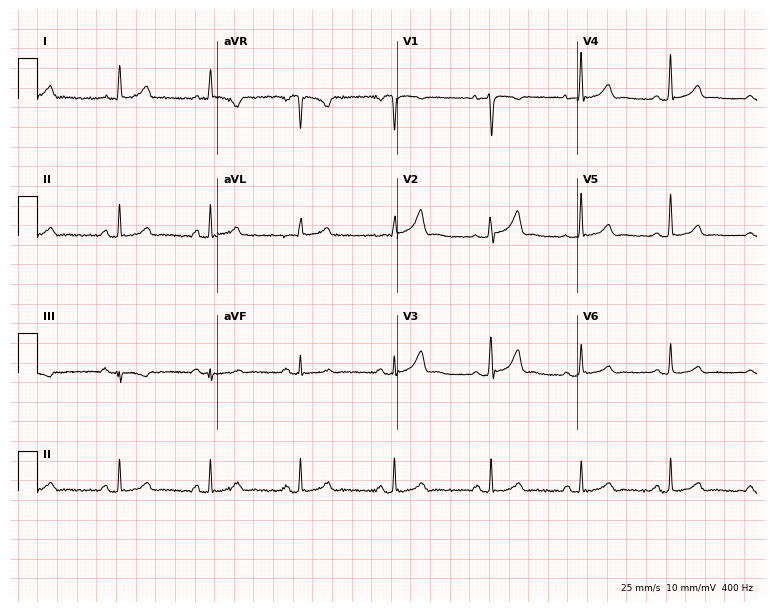
ECG — a female, 32 years old. Labelled as a normal ECG.